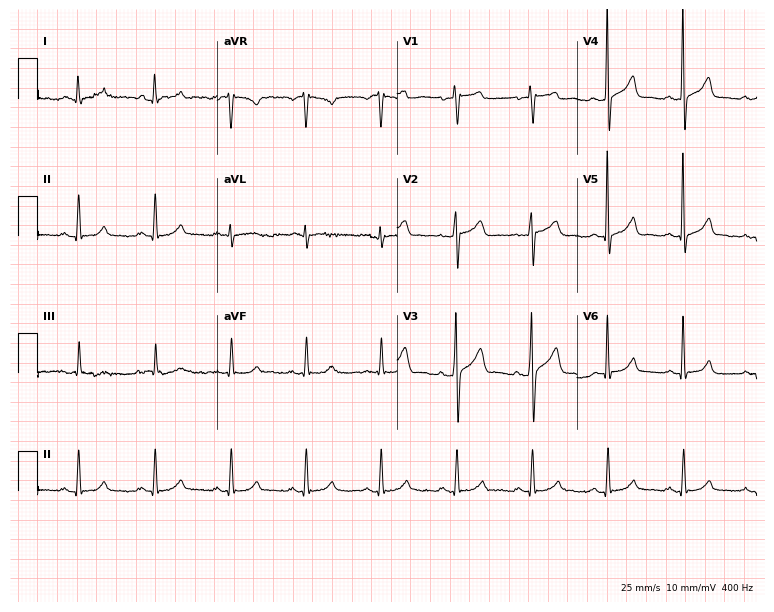
ECG — a male, 58 years old. Labelled as a normal ECG.